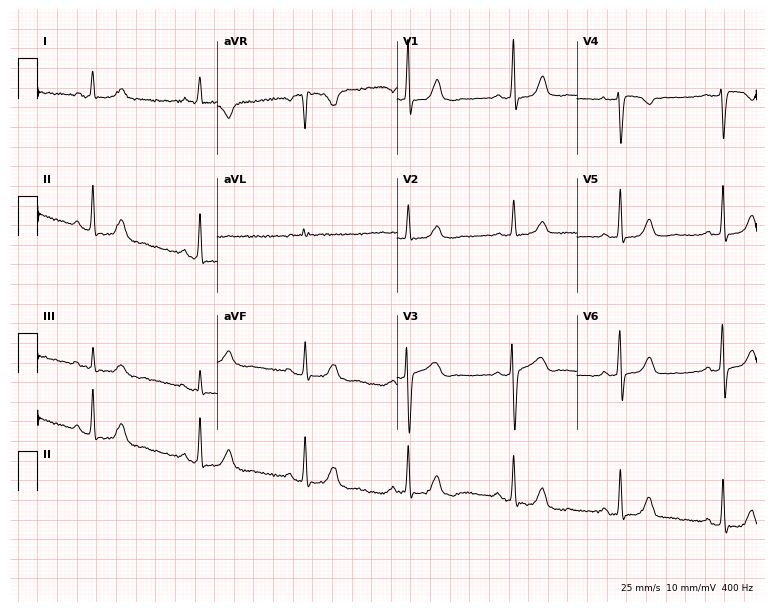
Standard 12-lead ECG recorded from a woman, 57 years old. None of these six findings is recorded: first-degree AV block, right bundle branch block (RBBB), left bundle branch block (LBBB), sinus bradycardia, atrial fibrillation (AF), sinus tachycardia. Only these six findings were labelled.